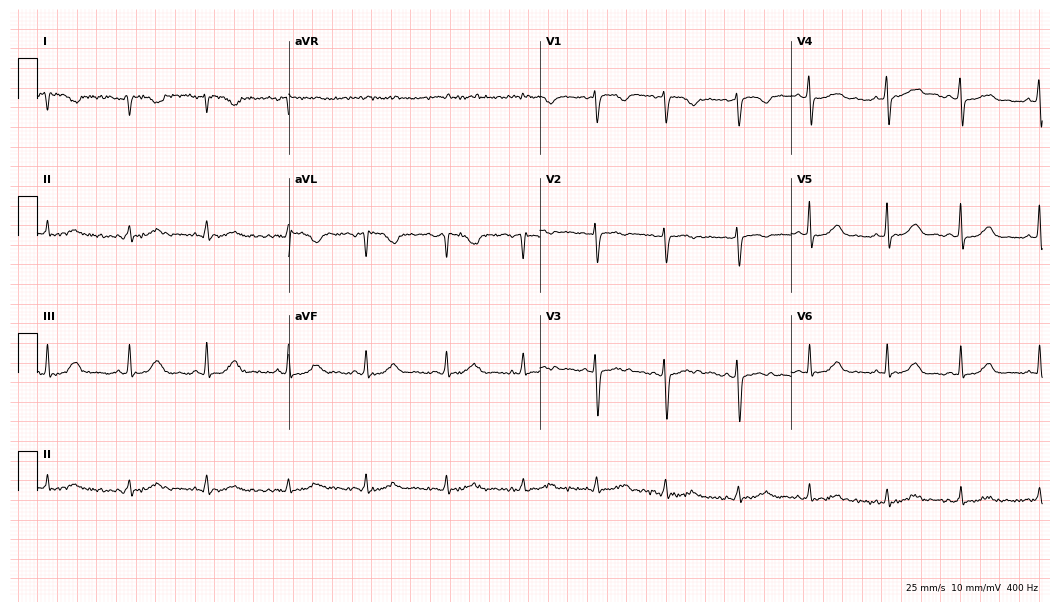
Resting 12-lead electrocardiogram (10.2-second recording at 400 Hz). Patient: a female, 48 years old. None of these six findings is recorded: first-degree AV block, right bundle branch block, left bundle branch block, sinus bradycardia, atrial fibrillation, sinus tachycardia. Other findings, if any, are not listed.